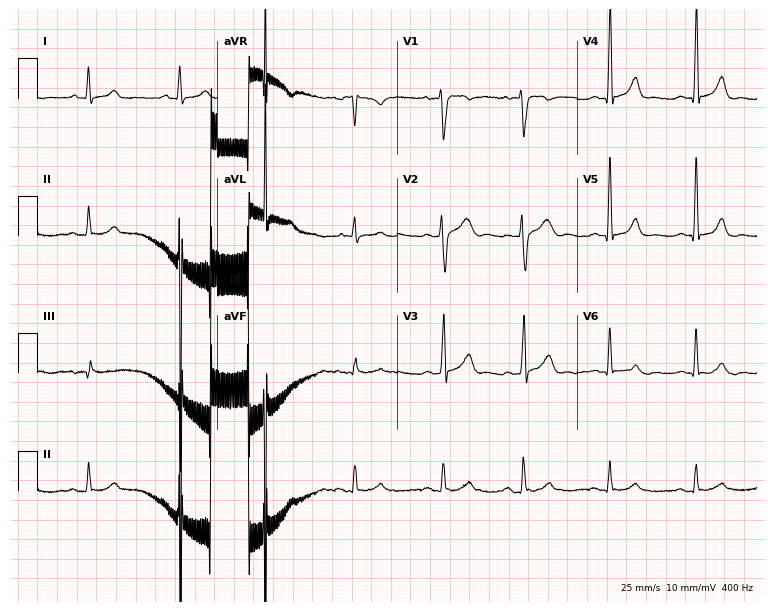
12-lead ECG (7.3-second recording at 400 Hz) from a man, 41 years old. Labelled as a normal ECG.